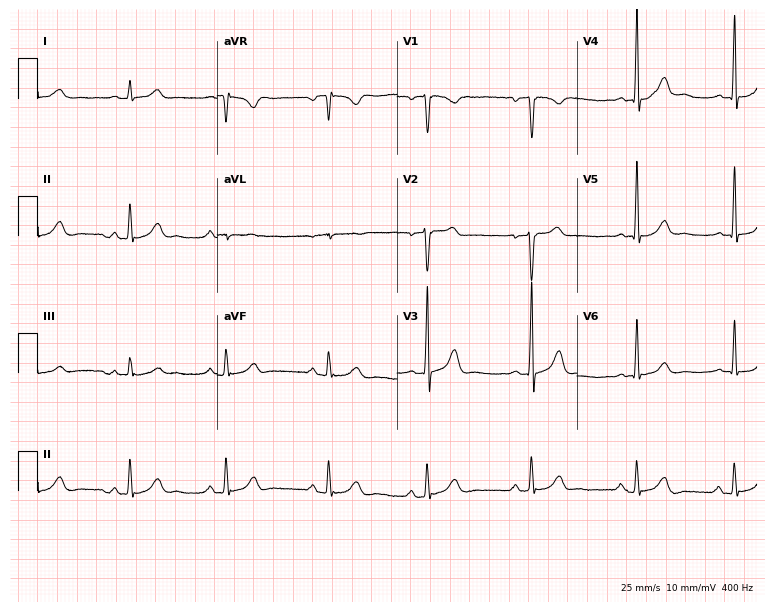
Resting 12-lead electrocardiogram (7.3-second recording at 400 Hz). Patient: a 32-year-old male. Read as a normal ECG.